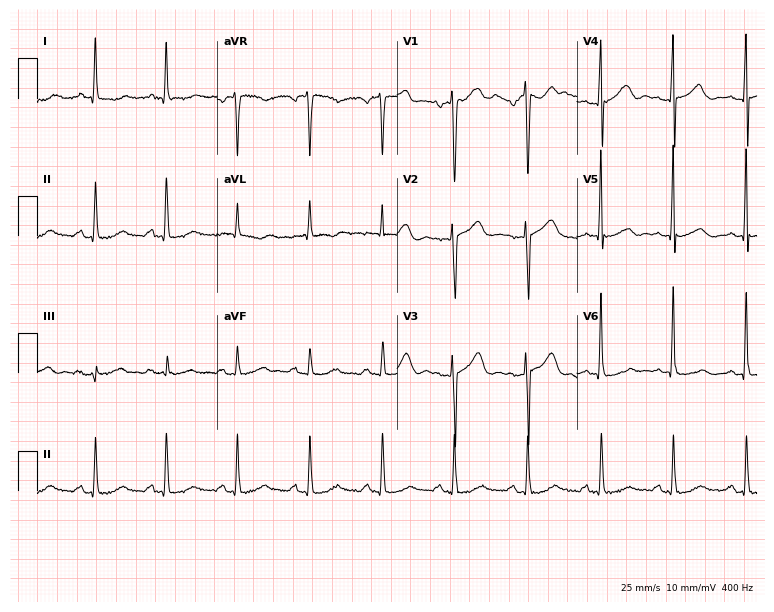
12-lead ECG (7.3-second recording at 400 Hz) from a female patient, 69 years old. Labelled as a normal ECG.